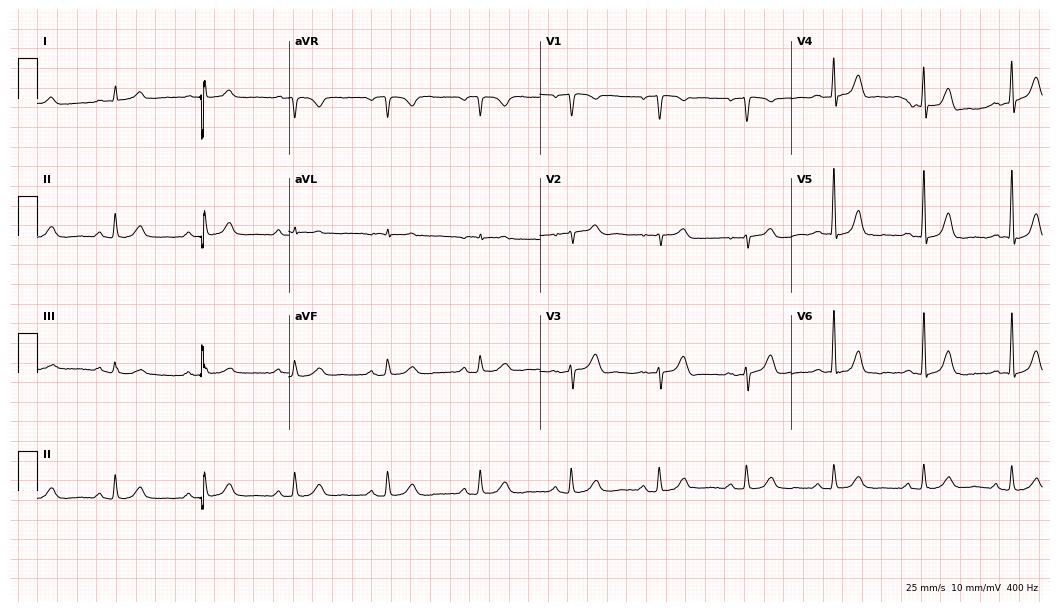
ECG — a male, 72 years old. Labelled as a normal ECG.